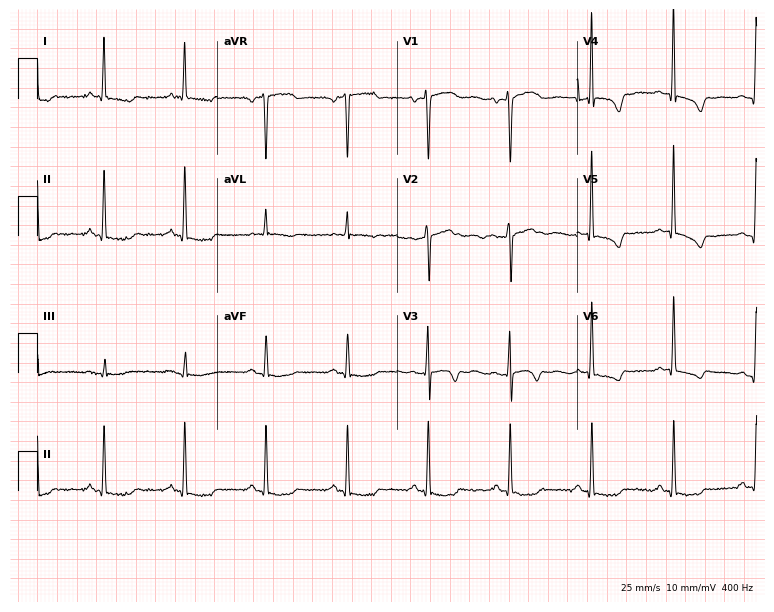
Resting 12-lead electrocardiogram. Patient: a 52-year-old woman. None of these six findings is recorded: first-degree AV block, right bundle branch block, left bundle branch block, sinus bradycardia, atrial fibrillation, sinus tachycardia. Other findings, if any, are not listed.